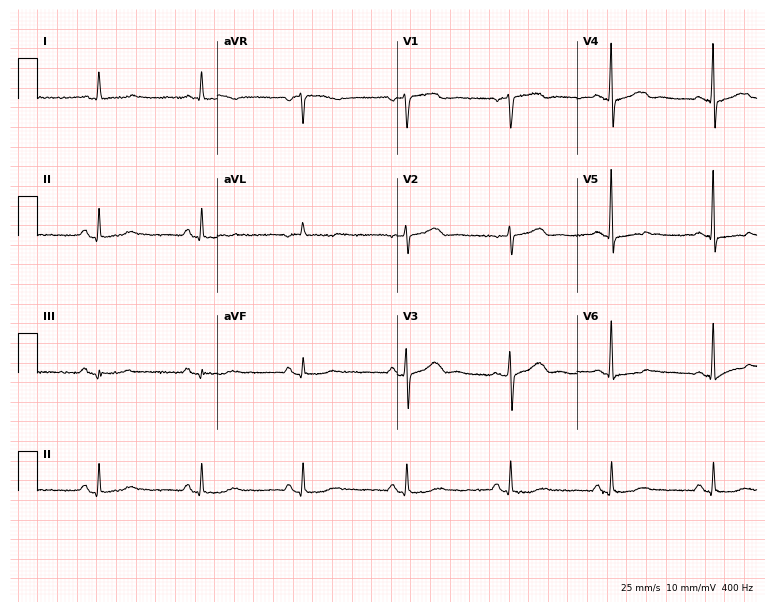
12-lead ECG (7.3-second recording at 400 Hz) from a 76-year-old female patient. Screened for six findings — first-degree AV block, right bundle branch block (RBBB), left bundle branch block (LBBB), sinus bradycardia, atrial fibrillation (AF), sinus tachycardia — none is recorded. Other findings, if any, are not listed.